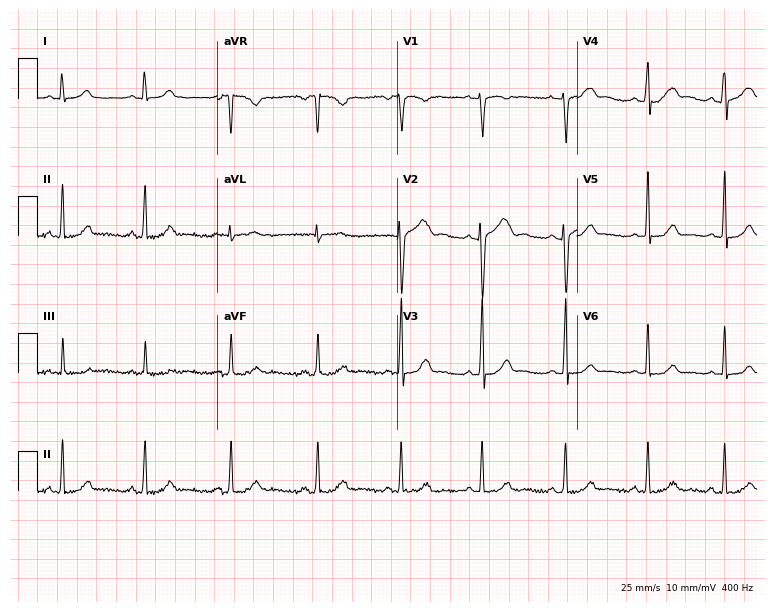
Electrocardiogram, a woman, 22 years old. Overall reading on record: normal ECG.